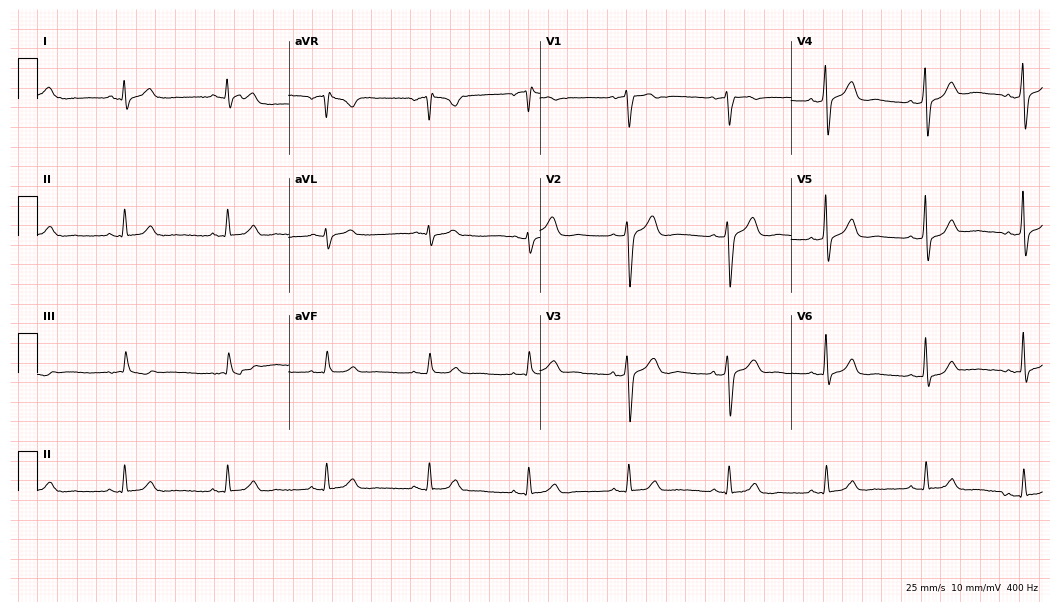
12-lead ECG (10.2-second recording at 400 Hz) from a 46-year-old man. Labelled as a normal ECG.